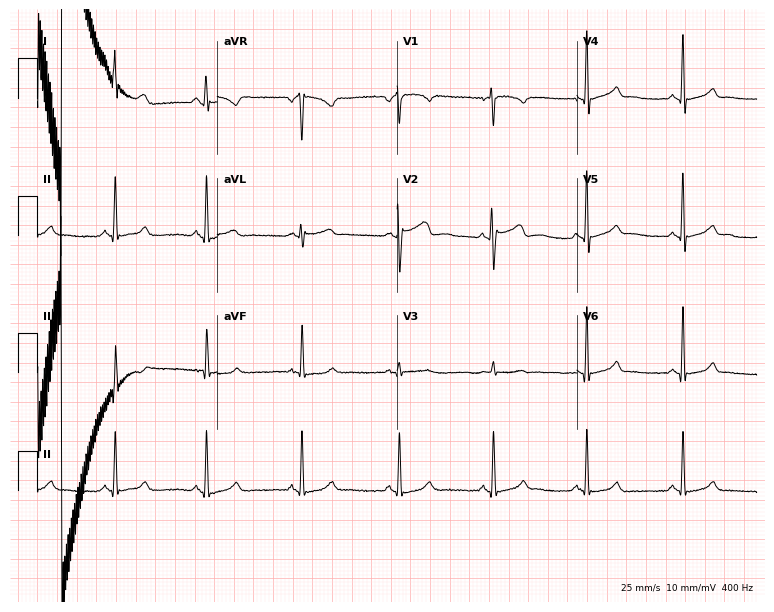
12-lead ECG from a female patient, 25 years old. No first-degree AV block, right bundle branch block, left bundle branch block, sinus bradycardia, atrial fibrillation or sinus tachycardia recorded for this tracing.